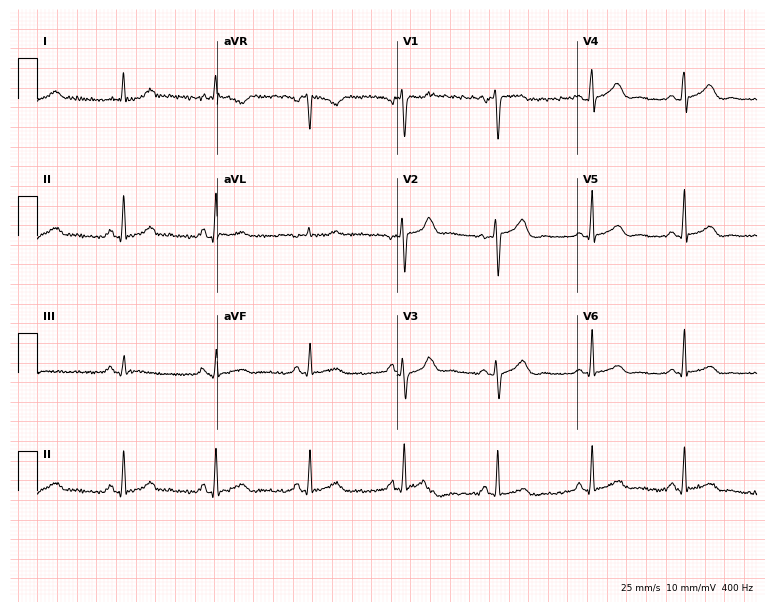
12-lead ECG from a 46-year-old woman (7.3-second recording at 400 Hz). Recorded interpretation: within normal limits.